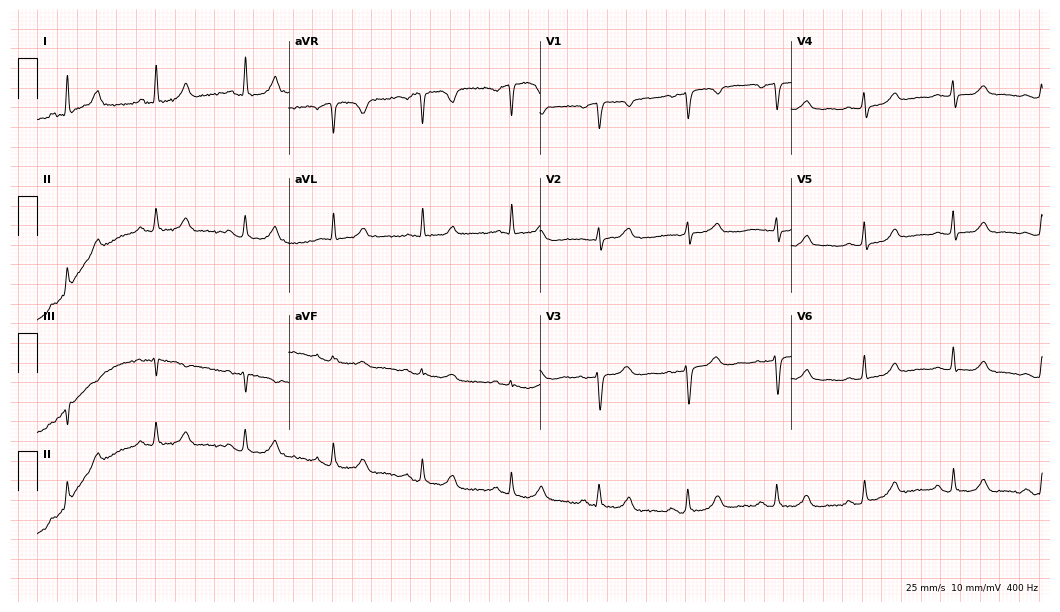
Standard 12-lead ECG recorded from a 62-year-old female patient. Read as a normal ECG.